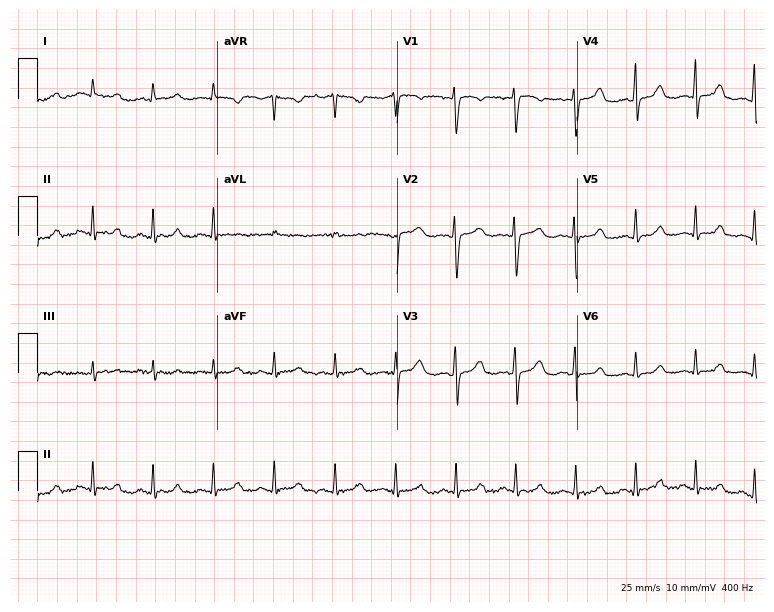
Standard 12-lead ECG recorded from a 34-year-old female. None of these six findings is recorded: first-degree AV block, right bundle branch block, left bundle branch block, sinus bradycardia, atrial fibrillation, sinus tachycardia.